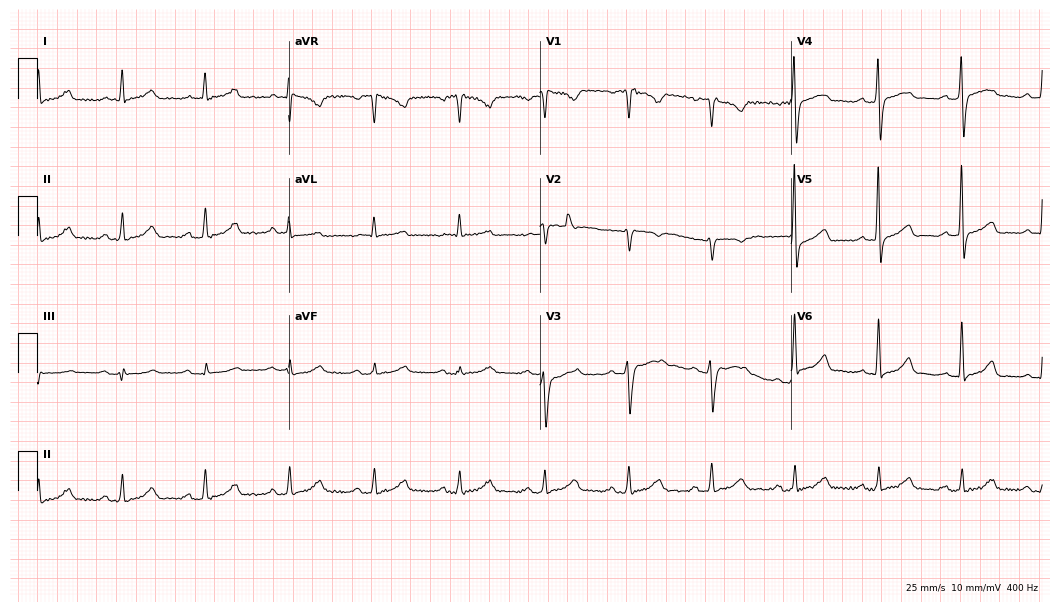
ECG (10.2-second recording at 400 Hz) — a 58-year-old male patient. Labelled as a normal ECG.